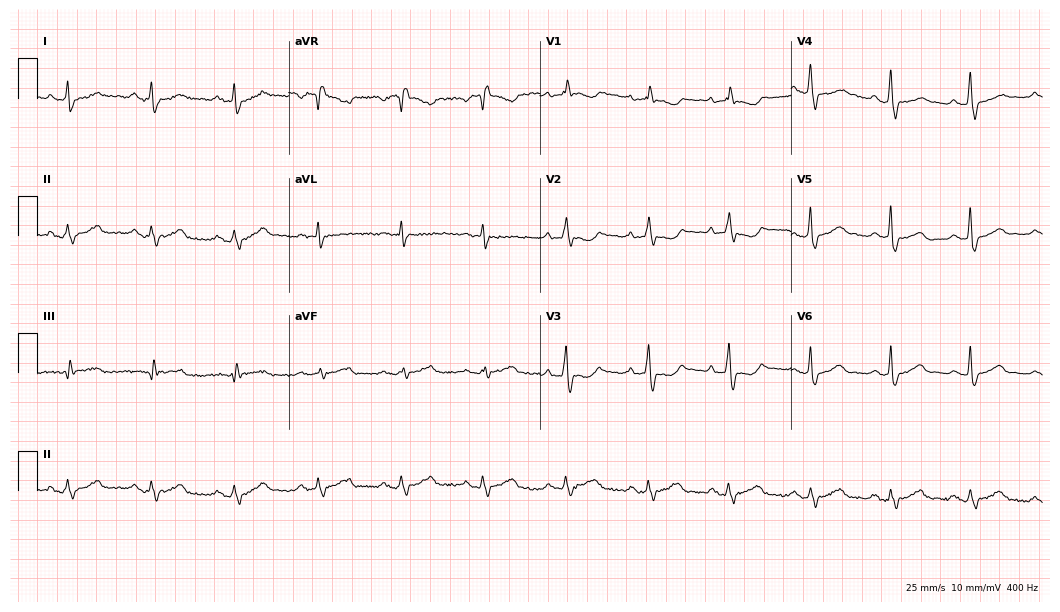
12-lead ECG (10.2-second recording at 400 Hz) from a female patient, 34 years old. Screened for six findings — first-degree AV block, right bundle branch block (RBBB), left bundle branch block (LBBB), sinus bradycardia, atrial fibrillation (AF), sinus tachycardia — none is recorded. Other findings, if any, are not listed.